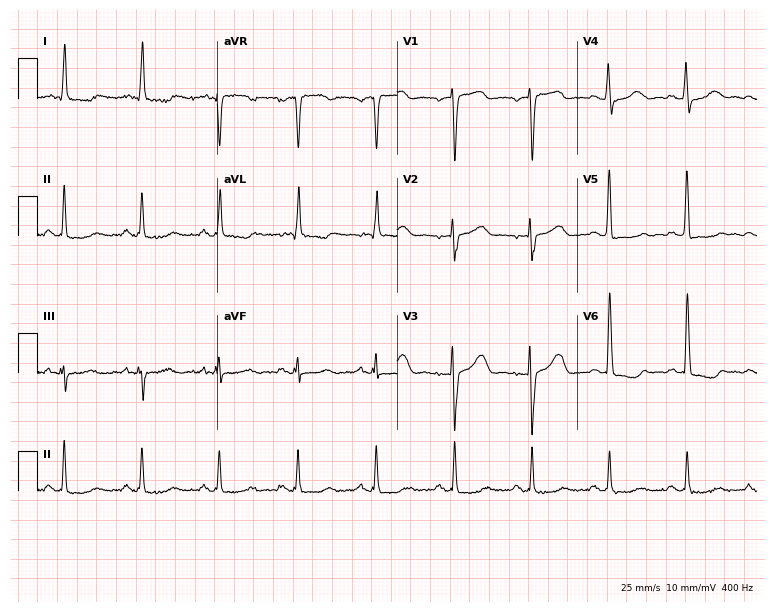
Resting 12-lead electrocardiogram. Patient: a female, 68 years old. None of these six findings is recorded: first-degree AV block, right bundle branch block, left bundle branch block, sinus bradycardia, atrial fibrillation, sinus tachycardia. Other findings, if any, are not listed.